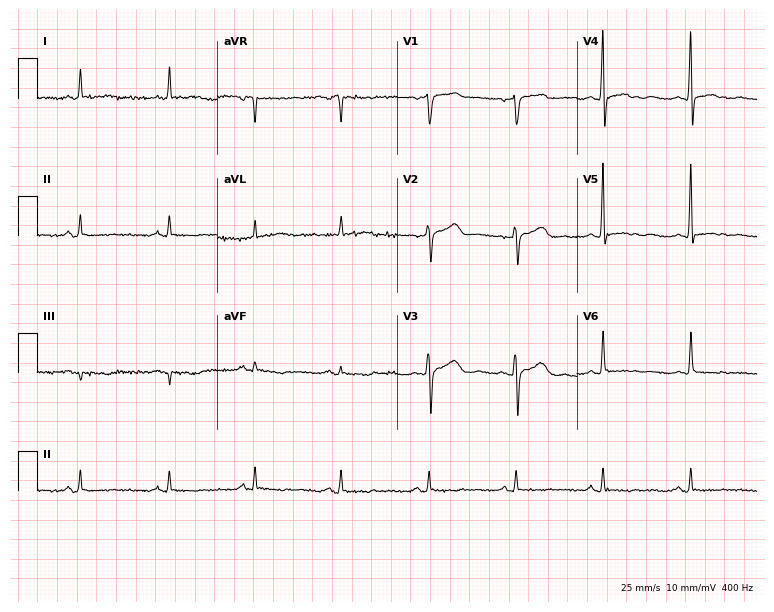
12-lead ECG from a female patient, 81 years old. No first-degree AV block, right bundle branch block, left bundle branch block, sinus bradycardia, atrial fibrillation or sinus tachycardia recorded for this tracing.